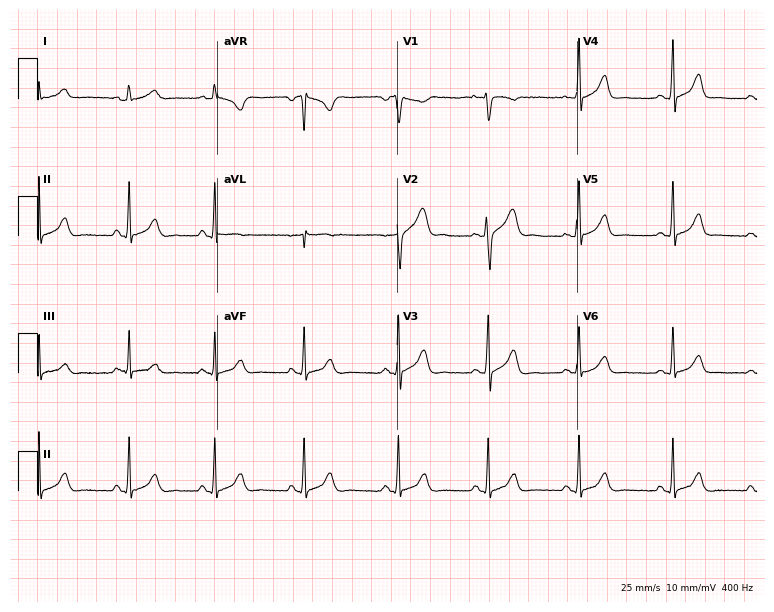
Standard 12-lead ECG recorded from a female, 27 years old. Read as a normal ECG.